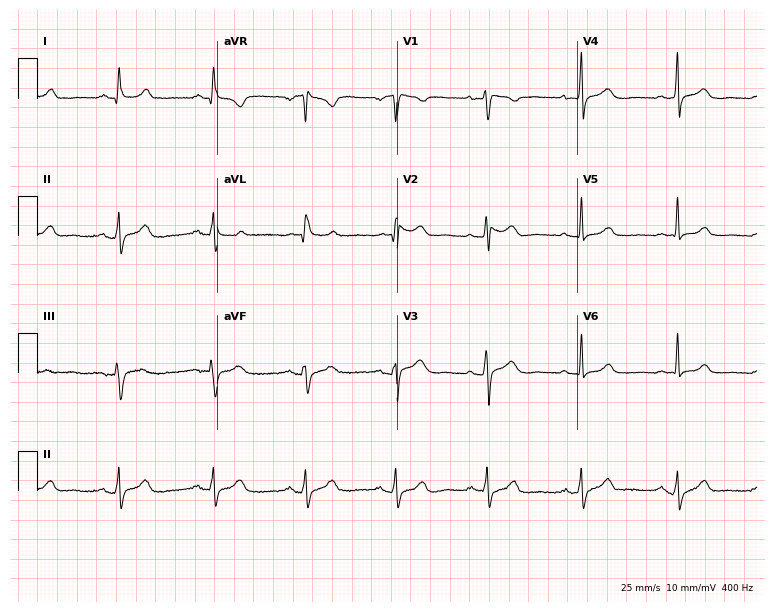
Resting 12-lead electrocardiogram. Patient: a female, 51 years old. None of these six findings is recorded: first-degree AV block, right bundle branch block, left bundle branch block, sinus bradycardia, atrial fibrillation, sinus tachycardia.